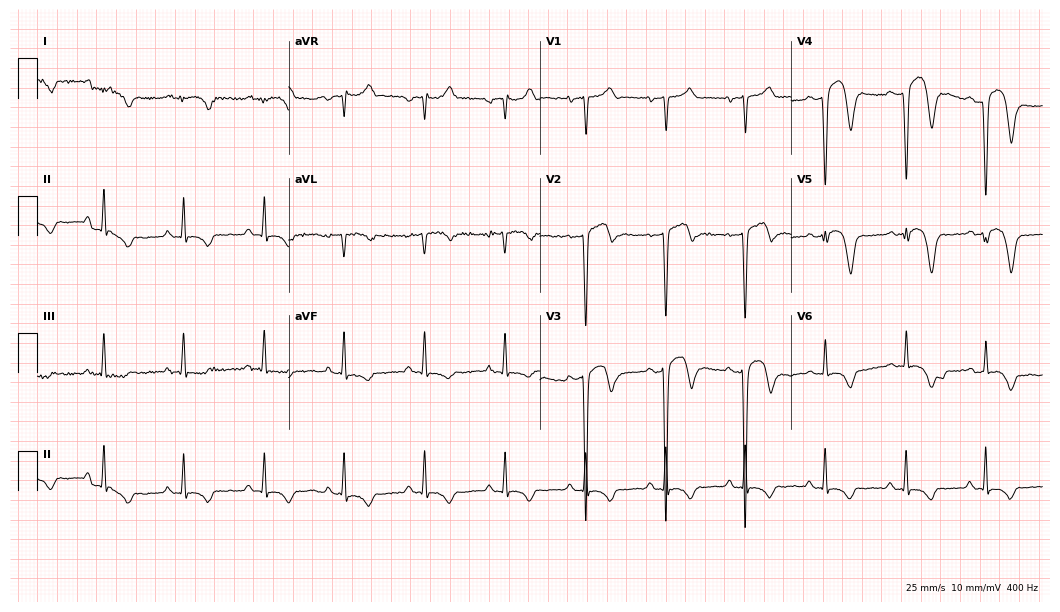
12-lead ECG from a 63-year-old man (10.2-second recording at 400 Hz). No first-degree AV block, right bundle branch block (RBBB), left bundle branch block (LBBB), sinus bradycardia, atrial fibrillation (AF) or sinus tachycardia recorded for this tracing.